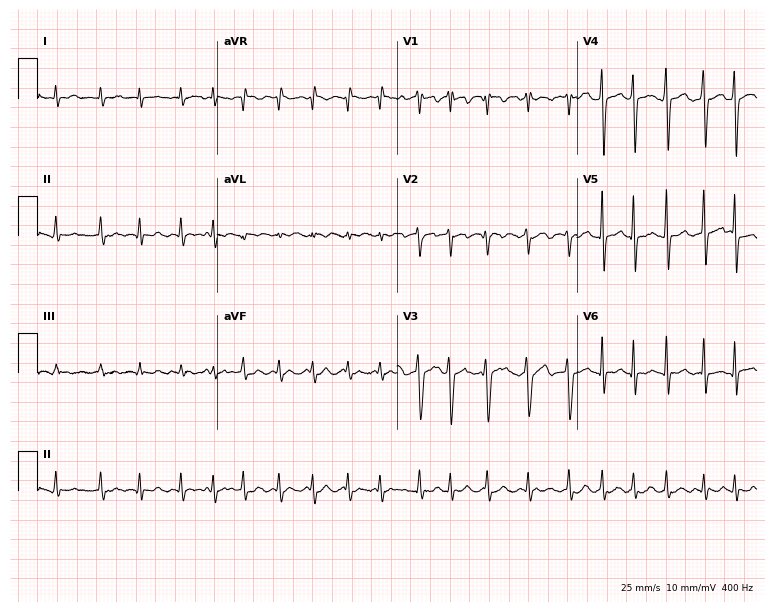
12-lead ECG from a male patient, 58 years old. Screened for six findings — first-degree AV block, right bundle branch block, left bundle branch block, sinus bradycardia, atrial fibrillation, sinus tachycardia — none is recorded.